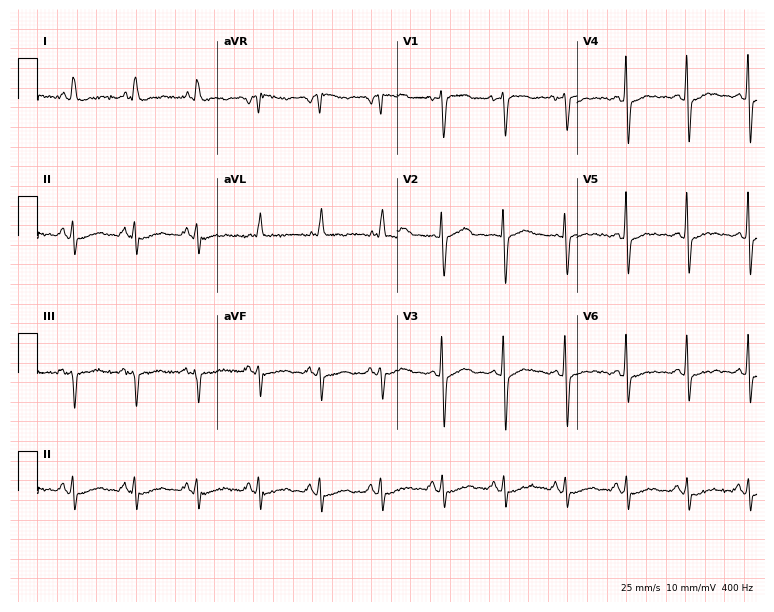
Electrocardiogram, a 63-year-old female patient. Of the six screened findings (first-degree AV block, right bundle branch block (RBBB), left bundle branch block (LBBB), sinus bradycardia, atrial fibrillation (AF), sinus tachycardia), none is recorded.